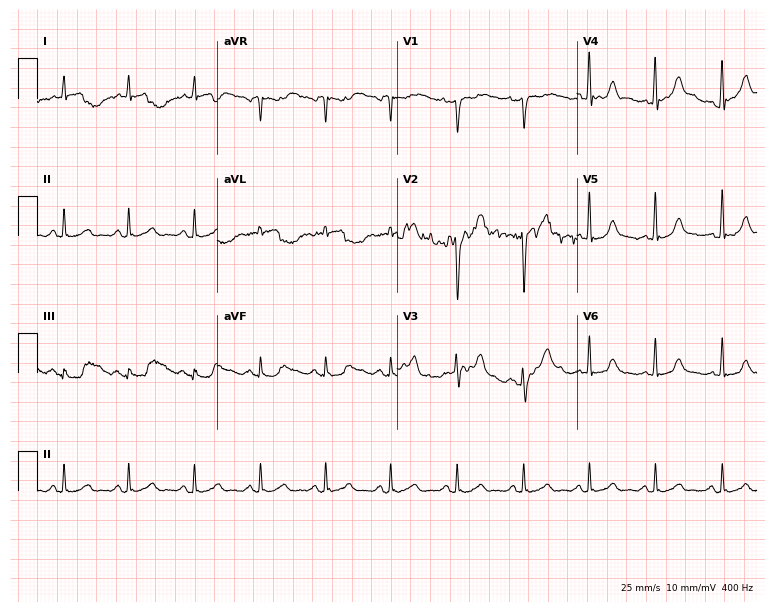
12-lead ECG (7.3-second recording at 400 Hz) from a 47-year-old man. Screened for six findings — first-degree AV block, right bundle branch block, left bundle branch block, sinus bradycardia, atrial fibrillation, sinus tachycardia — none is recorded.